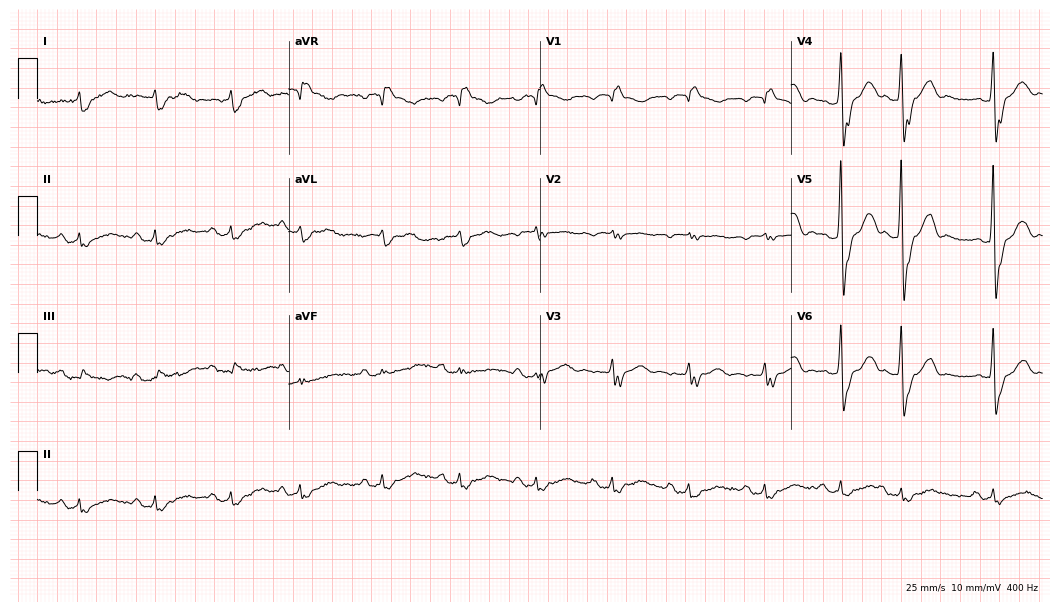
Electrocardiogram (10.2-second recording at 400 Hz), a male, 80 years old. Interpretation includes right bundle branch block.